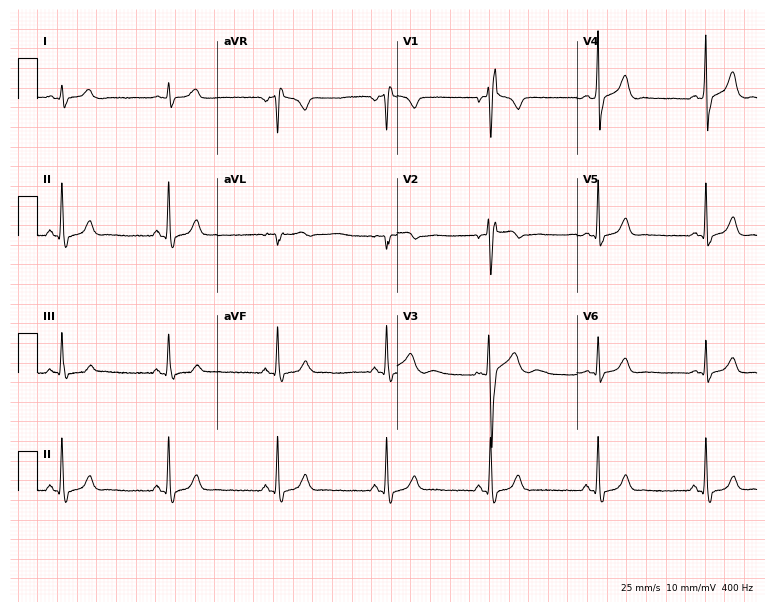
Electrocardiogram (7.3-second recording at 400 Hz), a 21-year-old male patient. Interpretation includes right bundle branch block (RBBB).